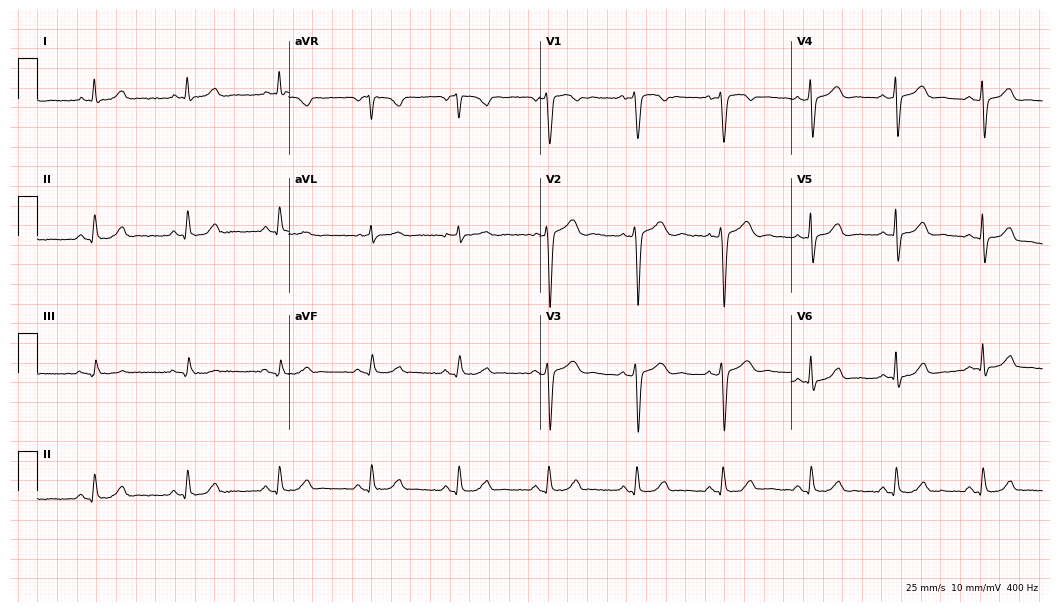
12-lead ECG (10.2-second recording at 400 Hz) from a 32-year-old woman. Labelled as a normal ECG.